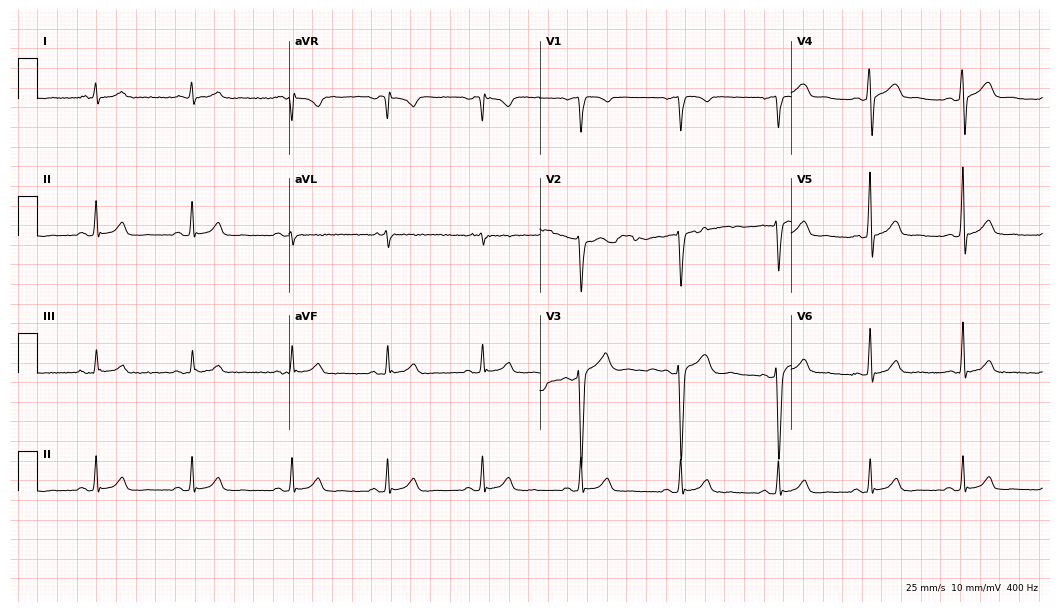
12-lead ECG from a male patient, 42 years old. Screened for six findings — first-degree AV block, right bundle branch block, left bundle branch block, sinus bradycardia, atrial fibrillation, sinus tachycardia — none is recorded.